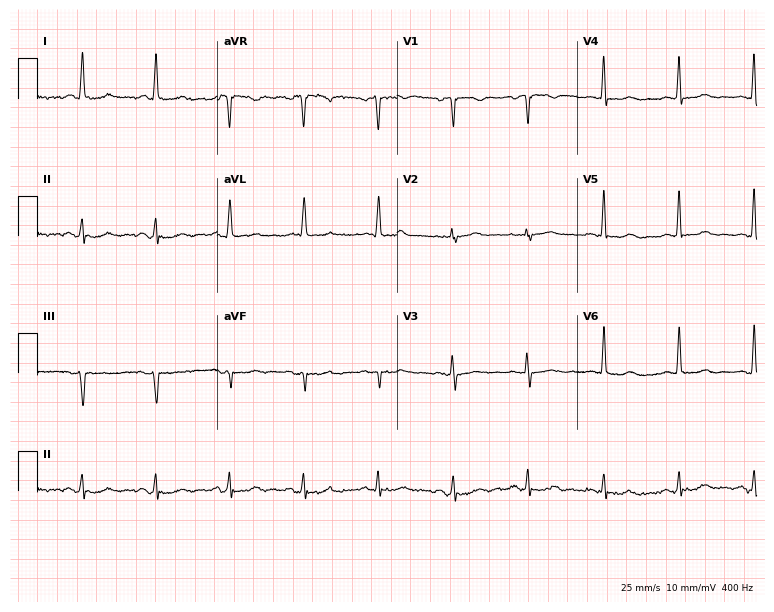
Electrocardiogram (7.3-second recording at 400 Hz), a 64-year-old female patient. Of the six screened findings (first-degree AV block, right bundle branch block, left bundle branch block, sinus bradycardia, atrial fibrillation, sinus tachycardia), none is recorded.